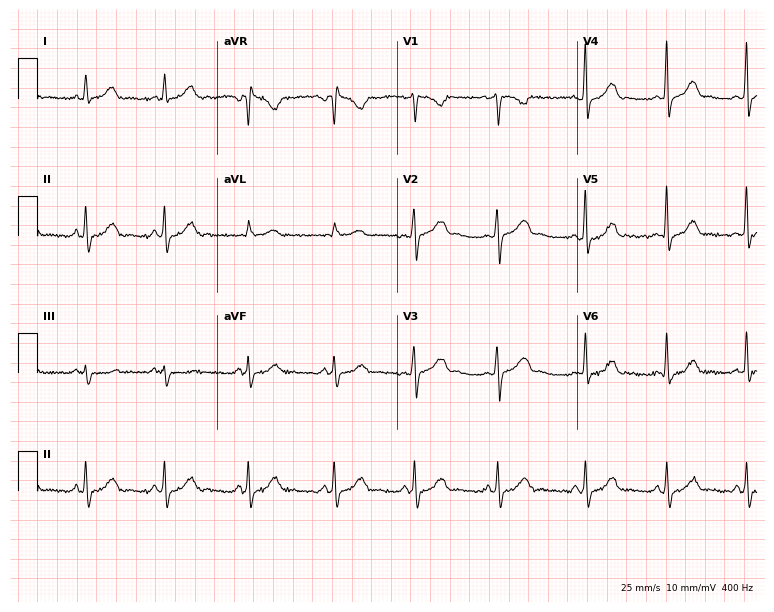
Standard 12-lead ECG recorded from a female patient, 26 years old. Read as a normal ECG.